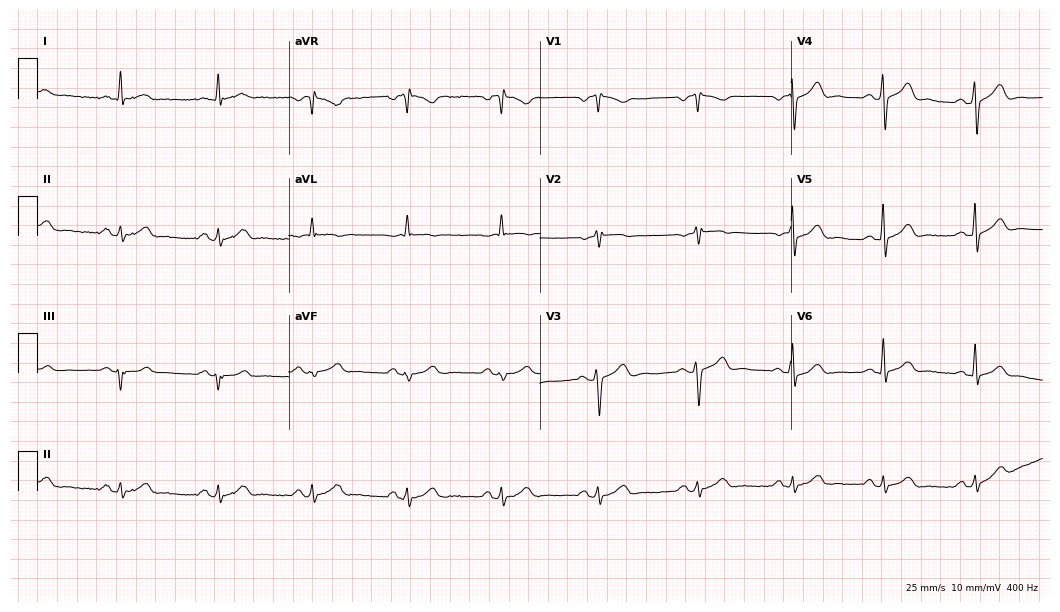
12-lead ECG from a woman, 62 years old (10.2-second recording at 400 Hz). Recorded interpretation: within normal limits.